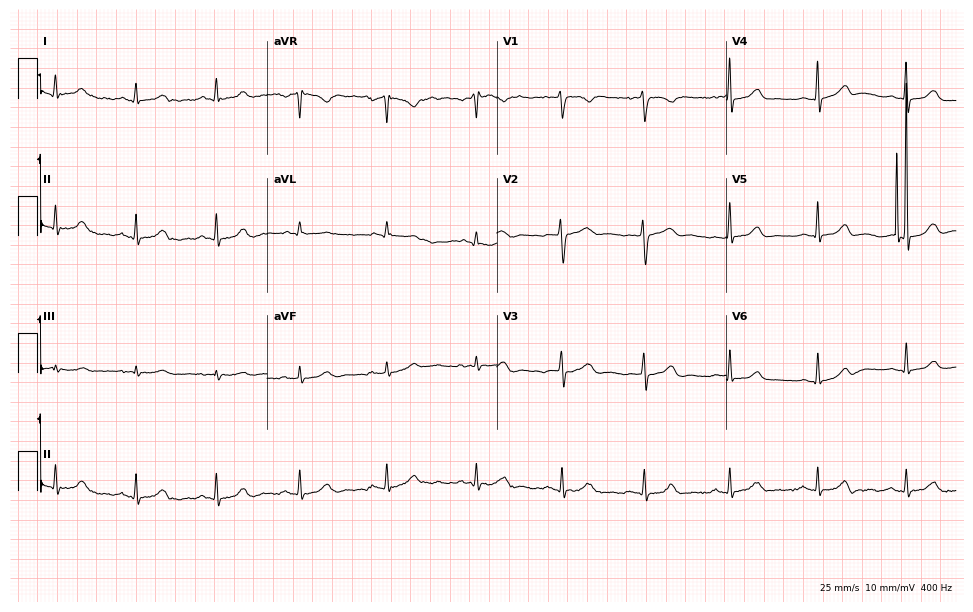
12-lead ECG from a female patient, 17 years old. Labelled as a normal ECG.